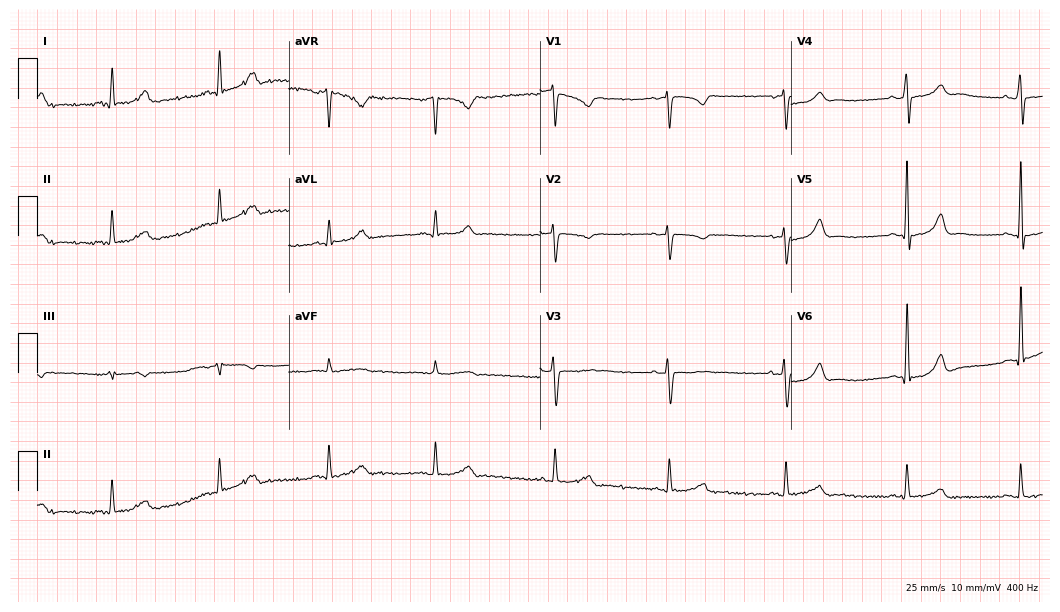
Resting 12-lead electrocardiogram. Patient: a female, 43 years old. None of these six findings is recorded: first-degree AV block, right bundle branch block, left bundle branch block, sinus bradycardia, atrial fibrillation, sinus tachycardia. Other findings, if any, are not listed.